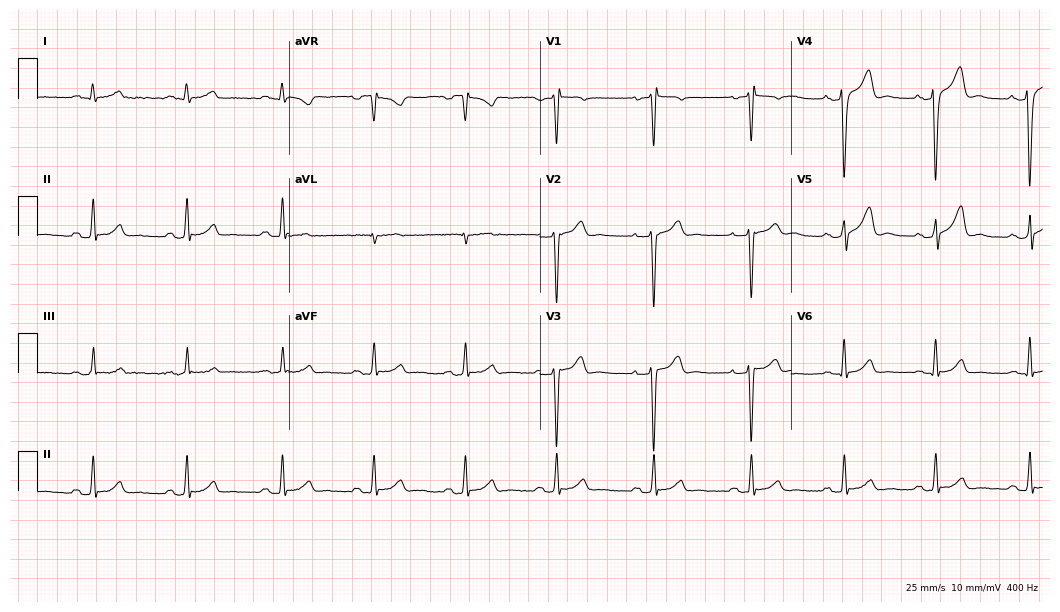
Resting 12-lead electrocardiogram (10.2-second recording at 400 Hz). Patient: a 38-year-old male. None of these six findings is recorded: first-degree AV block, right bundle branch block (RBBB), left bundle branch block (LBBB), sinus bradycardia, atrial fibrillation (AF), sinus tachycardia. Other findings, if any, are not listed.